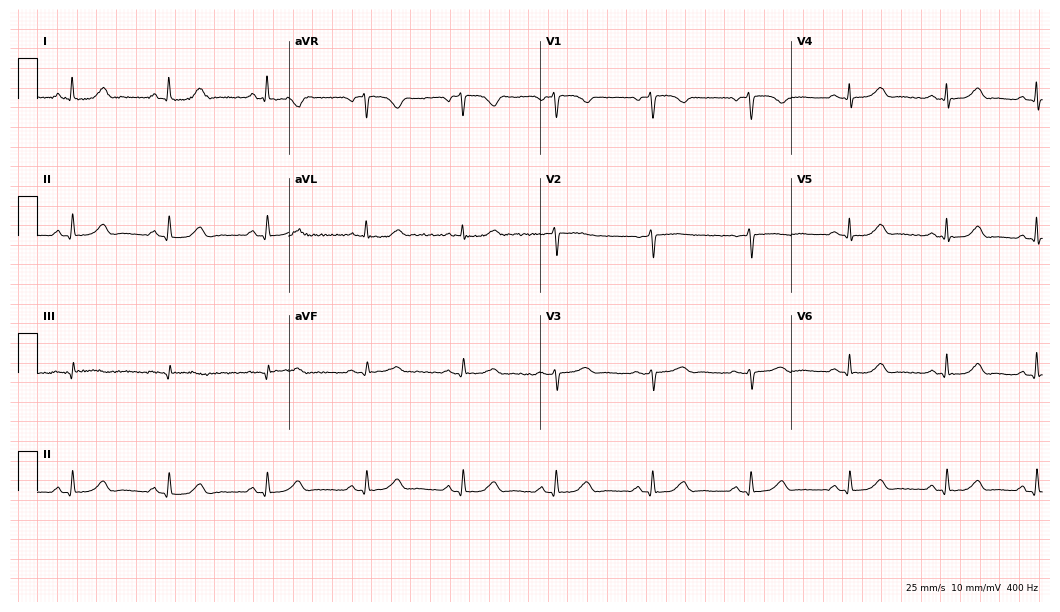
12-lead ECG from a female, 49 years old. Labelled as a normal ECG.